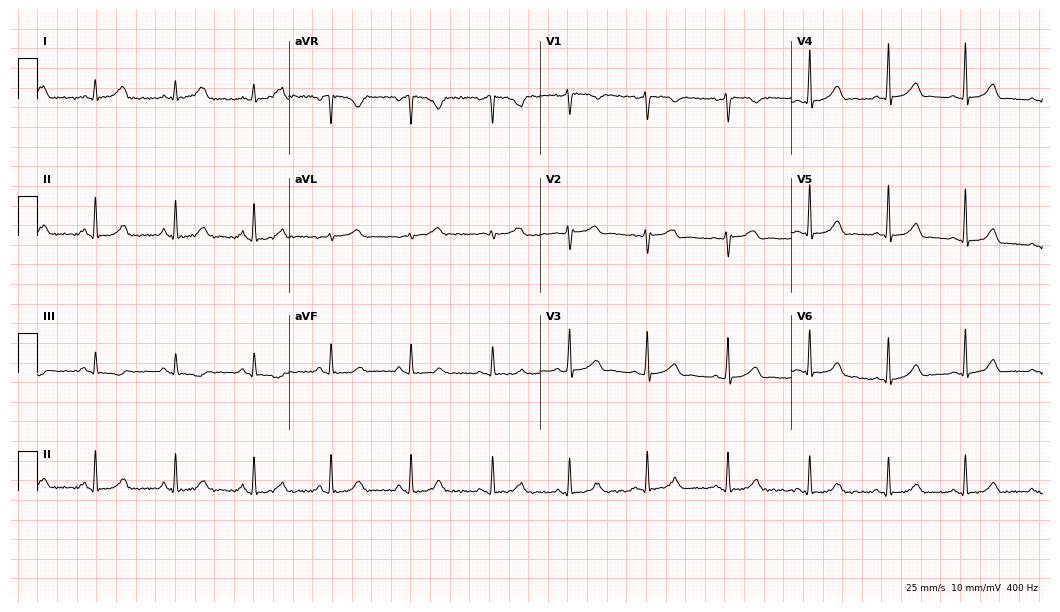
12-lead ECG from a 34-year-old woman (10.2-second recording at 400 Hz). Recorded interpretation: within normal limits.